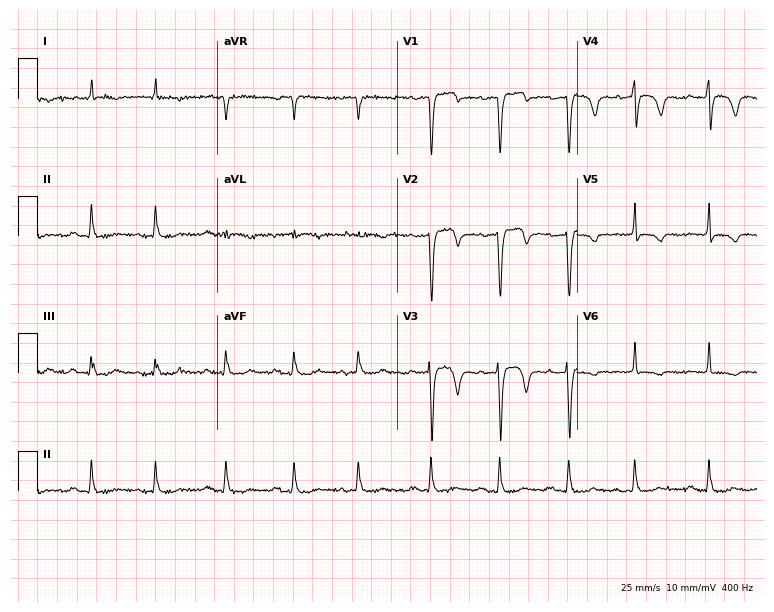
Electrocardiogram (7.3-second recording at 400 Hz), a 78-year-old male patient. Overall reading on record: normal ECG.